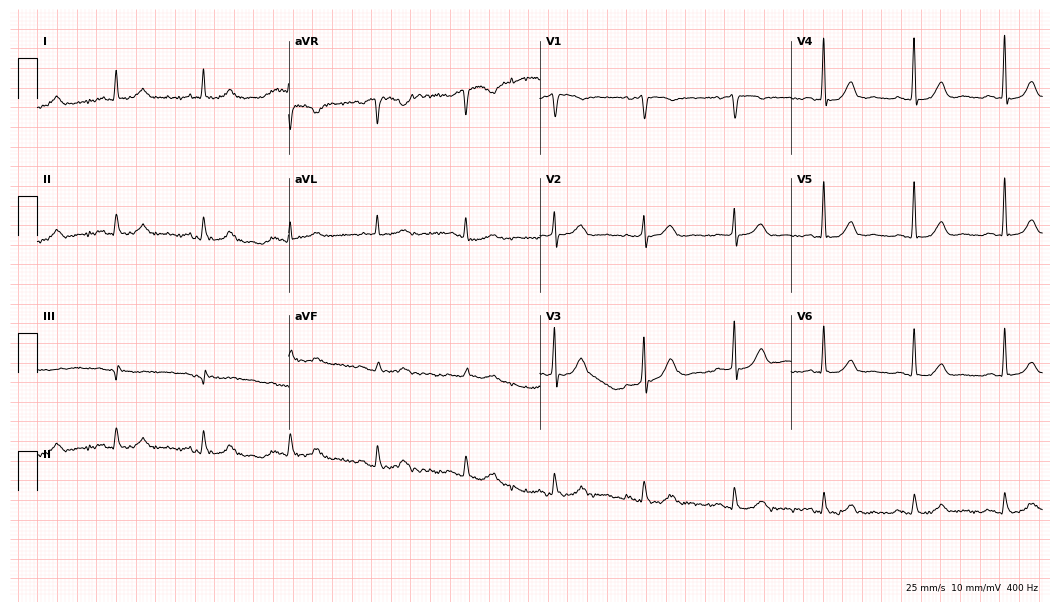
12-lead ECG from a 77-year-old man. No first-degree AV block, right bundle branch block, left bundle branch block, sinus bradycardia, atrial fibrillation or sinus tachycardia recorded for this tracing. Other findings, if any, are not listed.